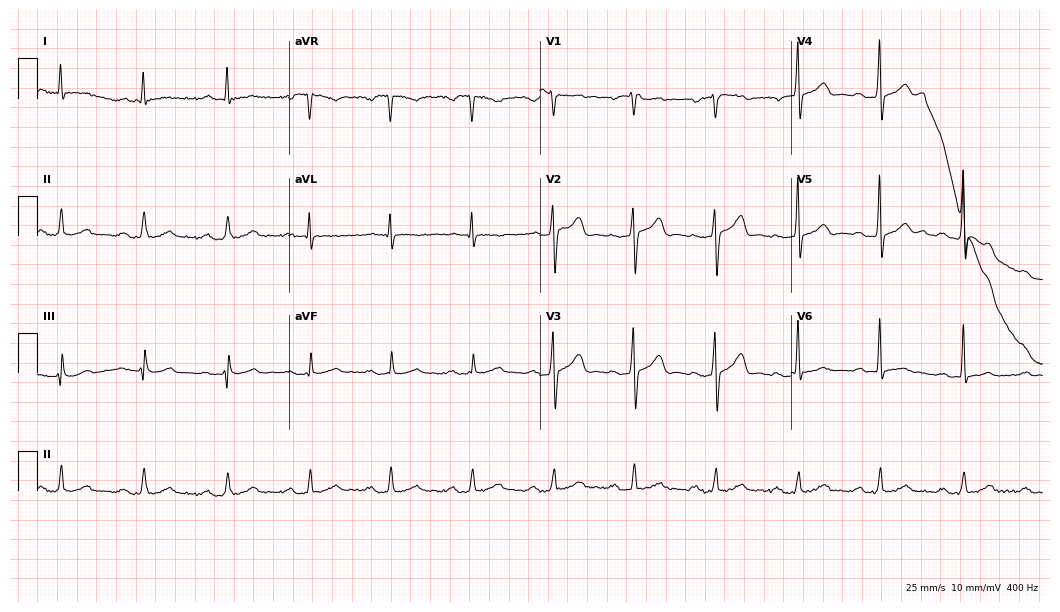
ECG (10.2-second recording at 400 Hz) — a male patient, 60 years old. Findings include first-degree AV block.